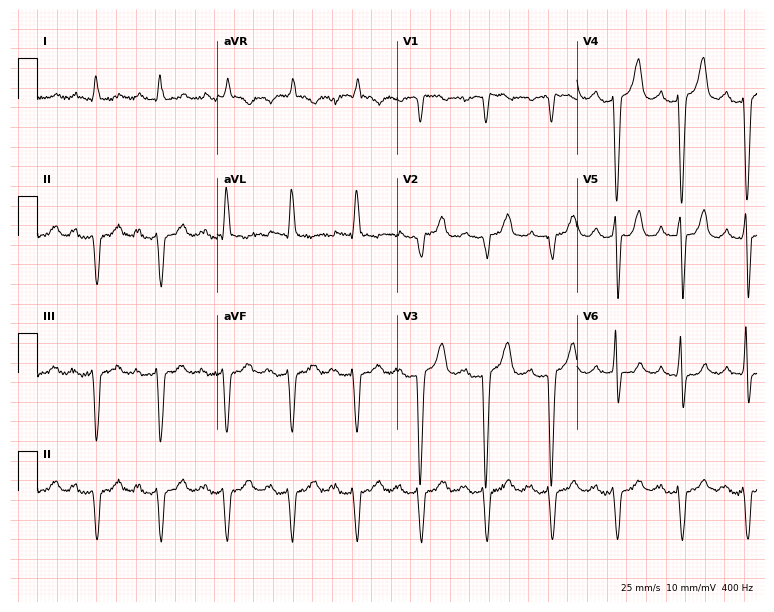
12-lead ECG from a 66-year-old male. Screened for six findings — first-degree AV block, right bundle branch block, left bundle branch block, sinus bradycardia, atrial fibrillation, sinus tachycardia — none is recorded.